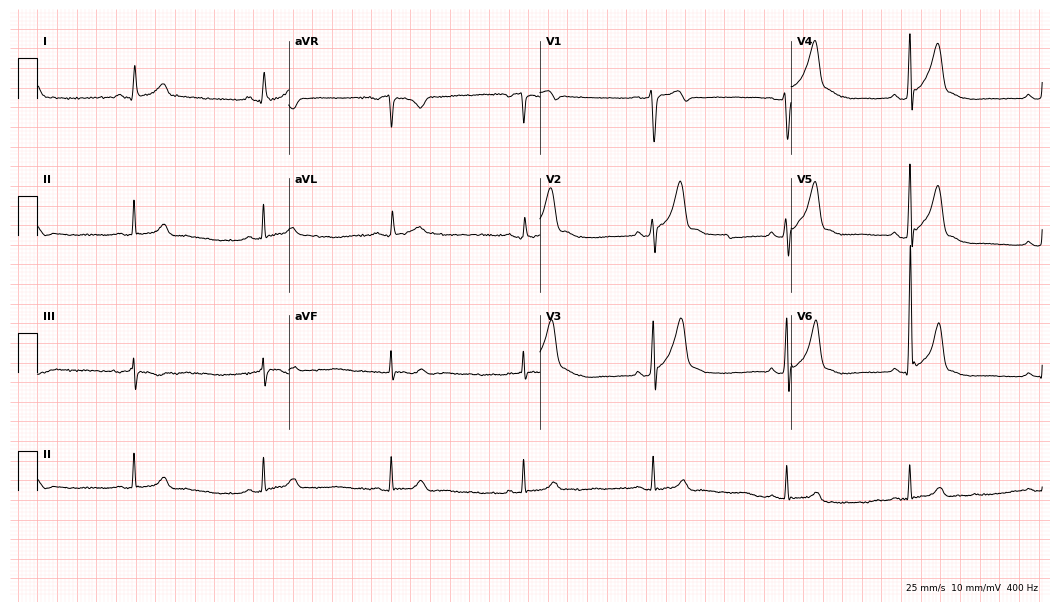
Electrocardiogram (10.2-second recording at 400 Hz), a male patient, 24 years old. Interpretation includes sinus bradycardia (a sinus rate of 50 beats per minute or less).